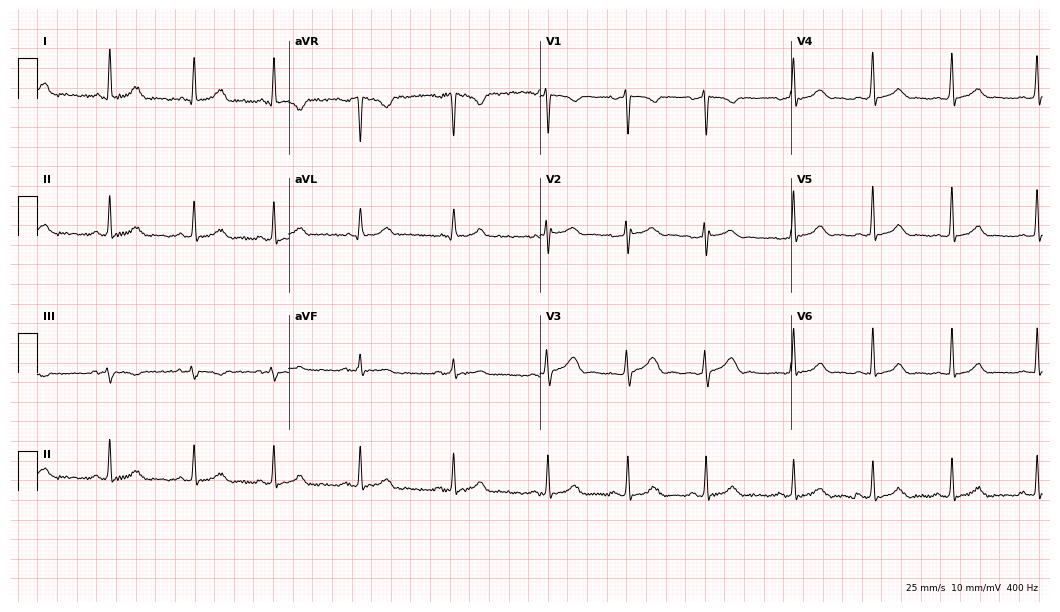
12-lead ECG from a woman, 27 years old. Screened for six findings — first-degree AV block, right bundle branch block, left bundle branch block, sinus bradycardia, atrial fibrillation, sinus tachycardia — none is recorded. Findings outside these six are not listed.